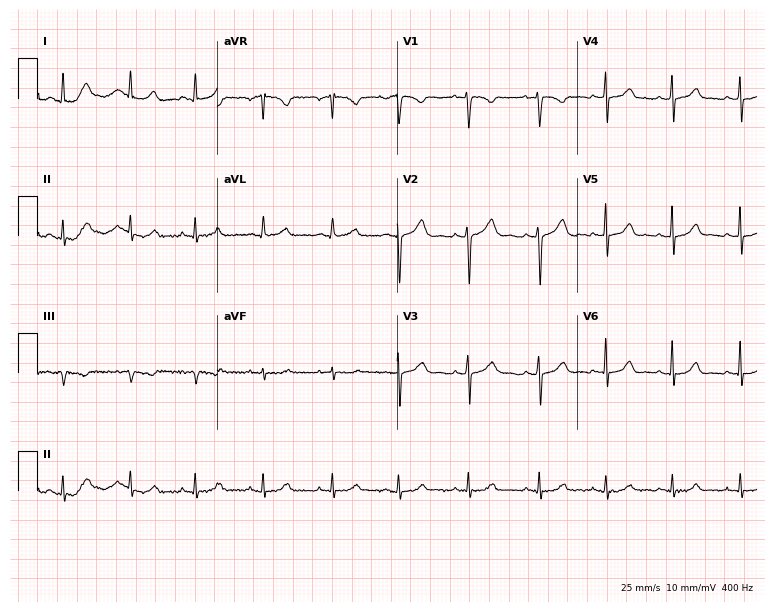
Electrocardiogram (7.3-second recording at 400 Hz), a female, 37 years old. Overall reading on record: normal ECG.